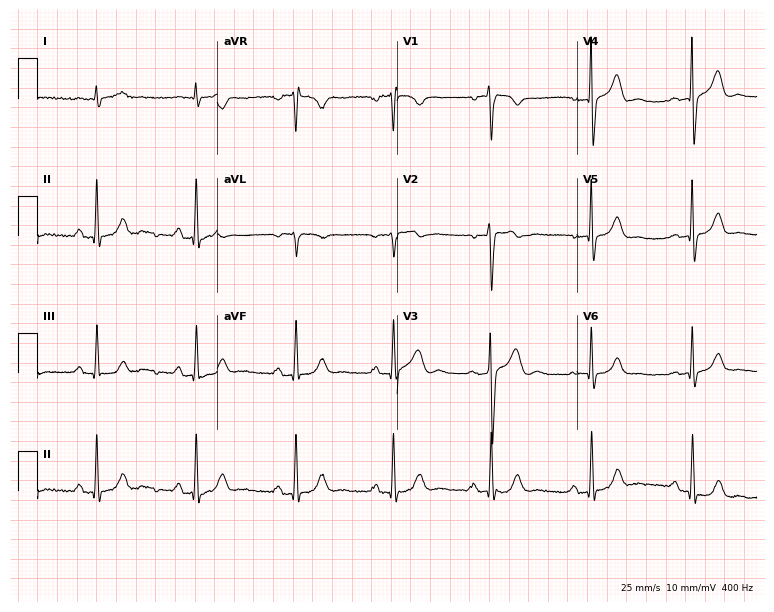
12-lead ECG (7.3-second recording at 400 Hz) from a male, 35 years old. Screened for six findings — first-degree AV block, right bundle branch block (RBBB), left bundle branch block (LBBB), sinus bradycardia, atrial fibrillation (AF), sinus tachycardia — none is recorded. Only these six findings were labelled.